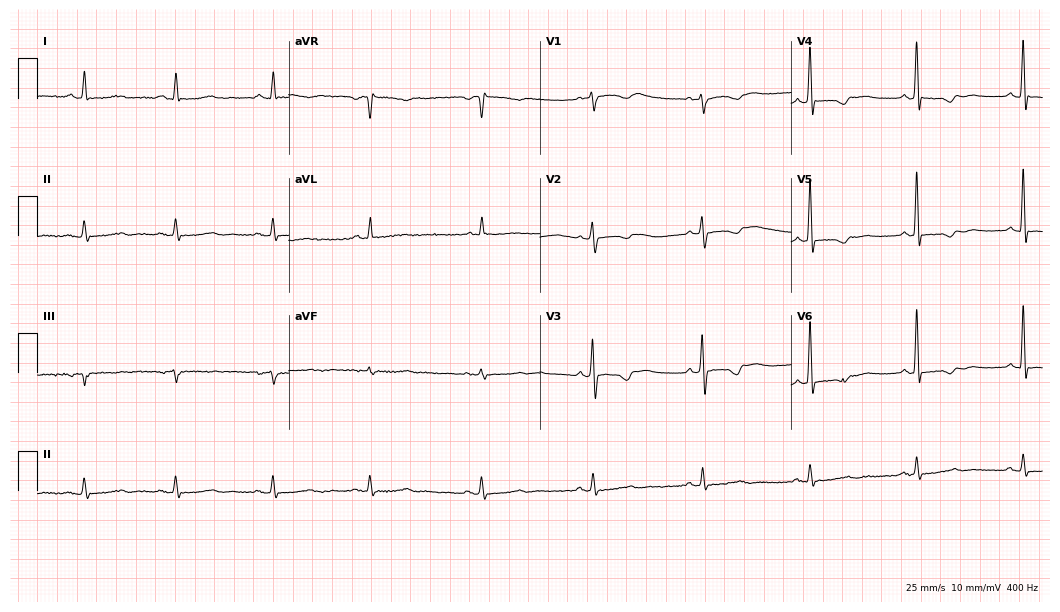
Electrocardiogram (10.2-second recording at 400 Hz), an 80-year-old female. Of the six screened findings (first-degree AV block, right bundle branch block, left bundle branch block, sinus bradycardia, atrial fibrillation, sinus tachycardia), none is recorded. Findings outside these six are not listed.